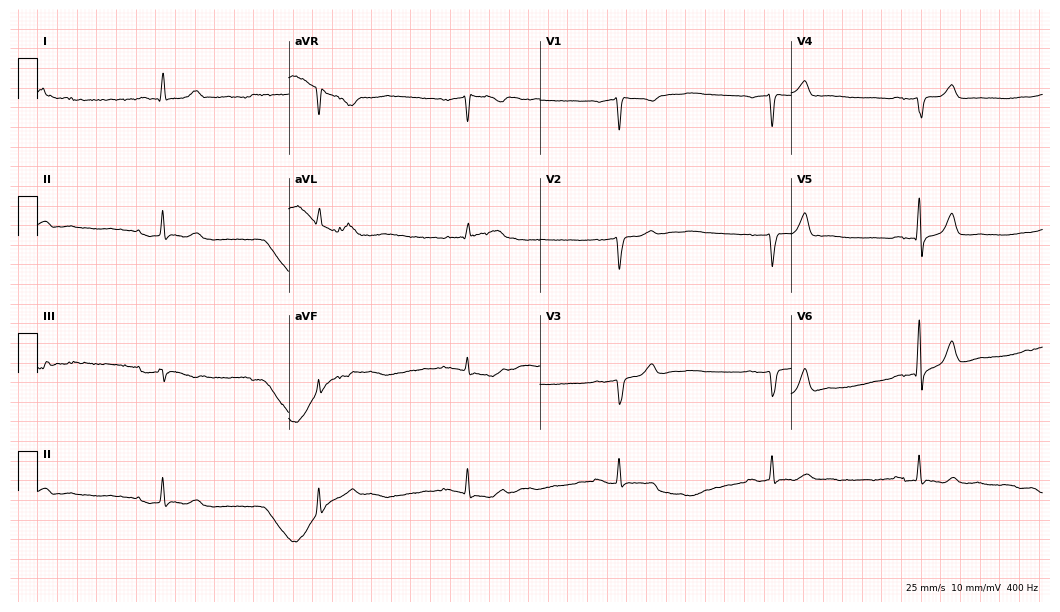
12-lead ECG from a man, 71 years old (10.2-second recording at 400 Hz). No first-degree AV block, right bundle branch block, left bundle branch block, sinus bradycardia, atrial fibrillation or sinus tachycardia recorded for this tracing.